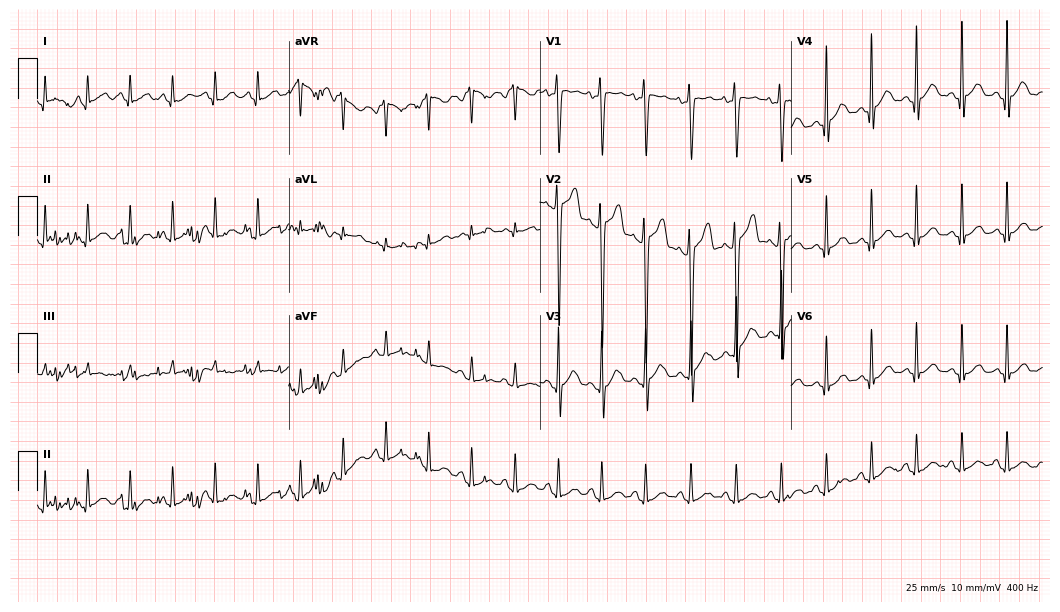
ECG — a female patient, 21 years old. Findings include sinus tachycardia (a sinus rate of 100 beats per minute or more).